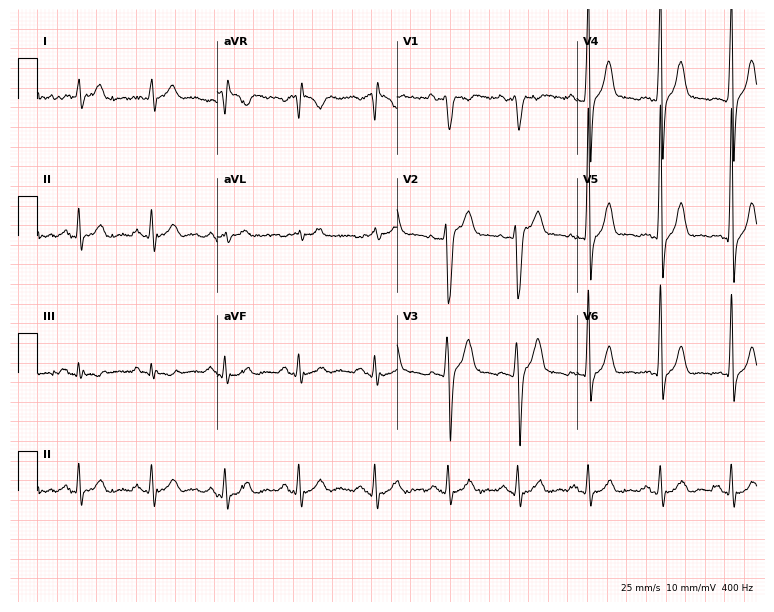
12-lead ECG (7.3-second recording at 400 Hz) from a 23-year-old male patient. Screened for six findings — first-degree AV block, right bundle branch block (RBBB), left bundle branch block (LBBB), sinus bradycardia, atrial fibrillation (AF), sinus tachycardia — none is recorded.